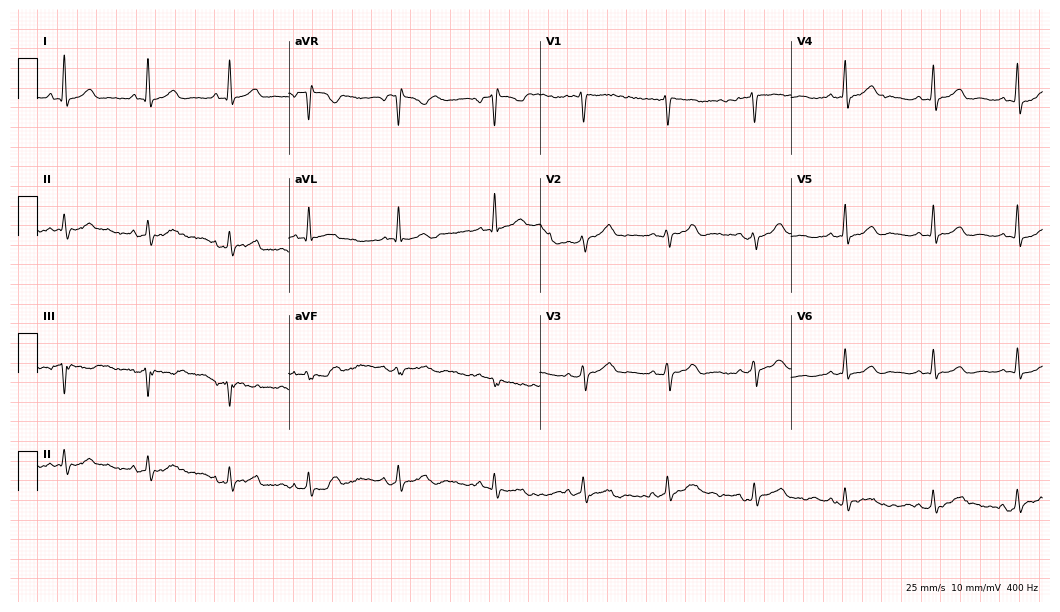
Electrocardiogram, a 46-year-old female patient. Overall reading on record: normal ECG.